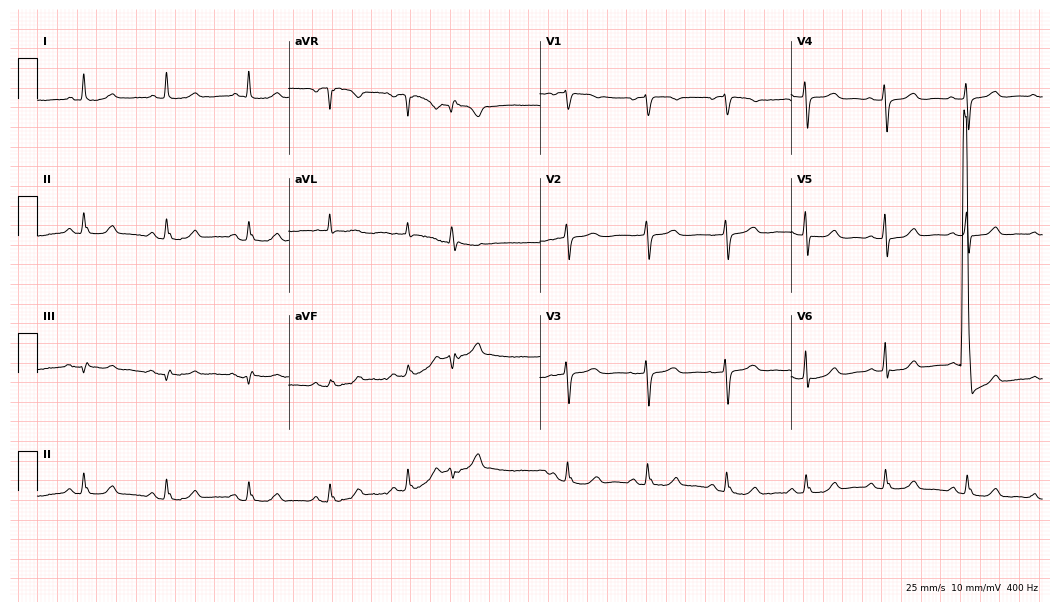
Resting 12-lead electrocardiogram. Patient: an 82-year-old woman. Read as a normal ECG.